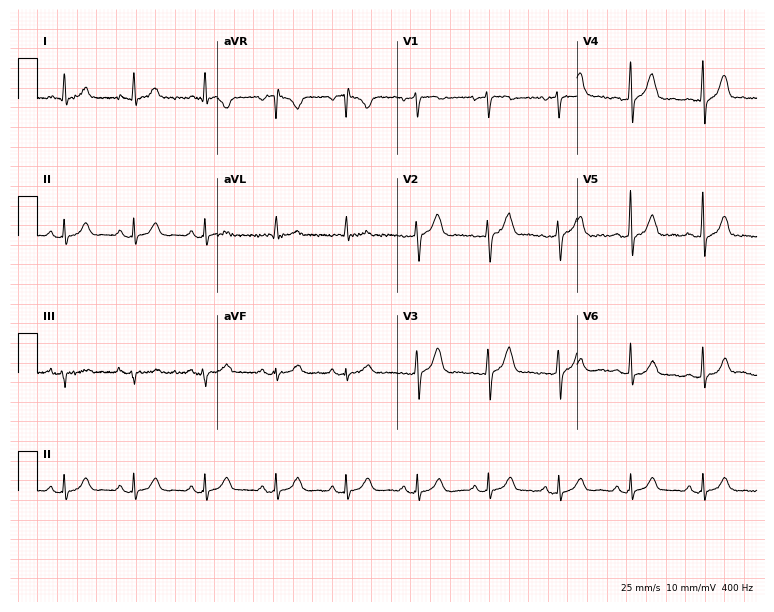
12-lead ECG from a female patient, 53 years old. Labelled as a normal ECG.